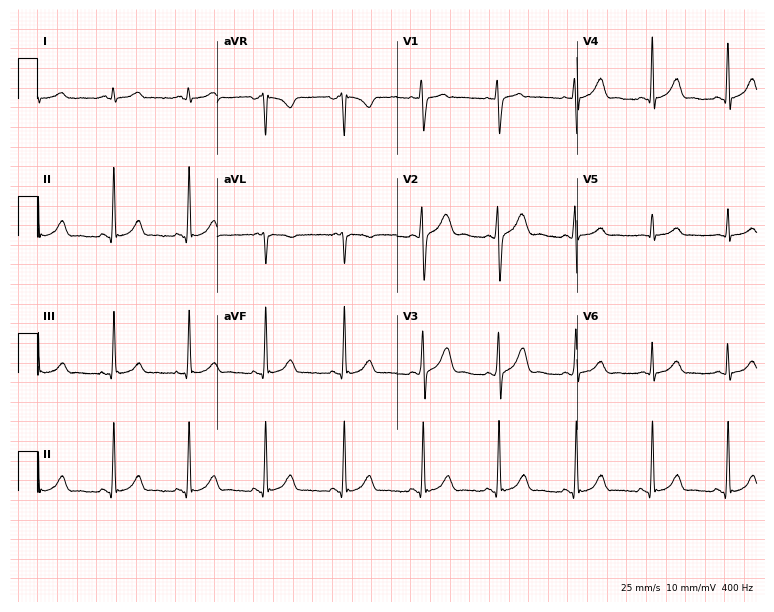
12-lead ECG from a female, 26 years old. Labelled as a normal ECG.